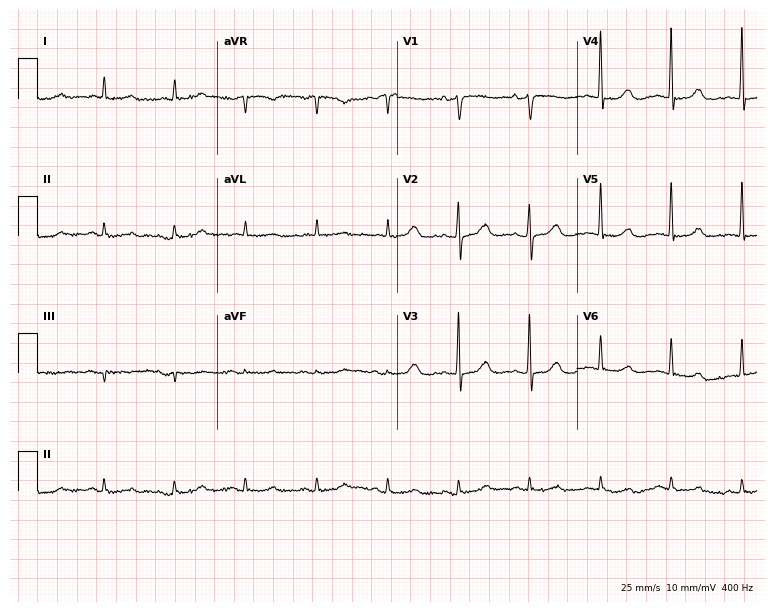
Resting 12-lead electrocardiogram. Patient: a woman, 81 years old. Read as a normal ECG.